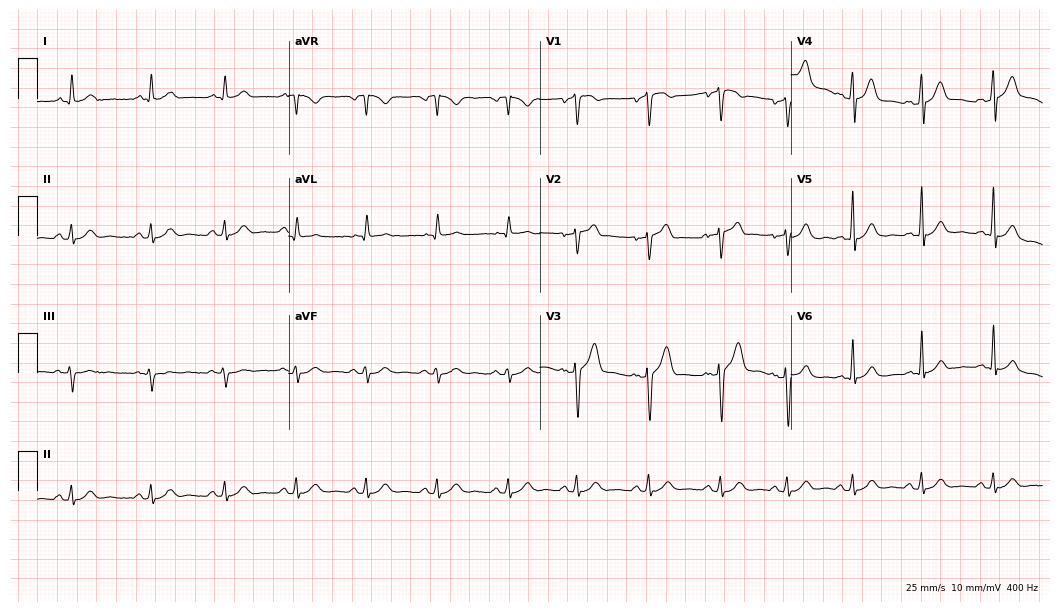
Electrocardiogram (10.2-second recording at 400 Hz), a male, 29 years old. Overall reading on record: normal ECG.